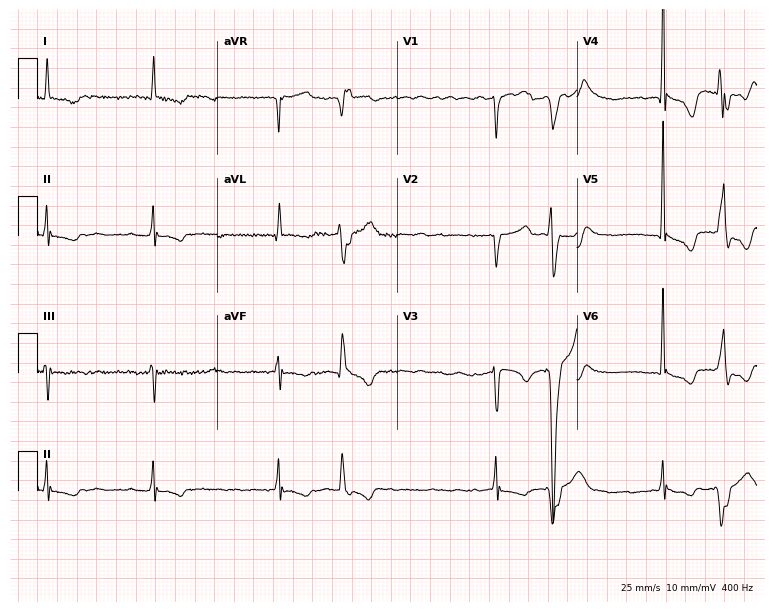
Resting 12-lead electrocardiogram (7.3-second recording at 400 Hz). Patient: a man, 75 years old. None of these six findings is recorded: first-degree AV block, right bundle branch block, left bundle branch block, sinus bradycardia, atrial fibrillation, sinus tachycardia. Findings outside these six are not listed.